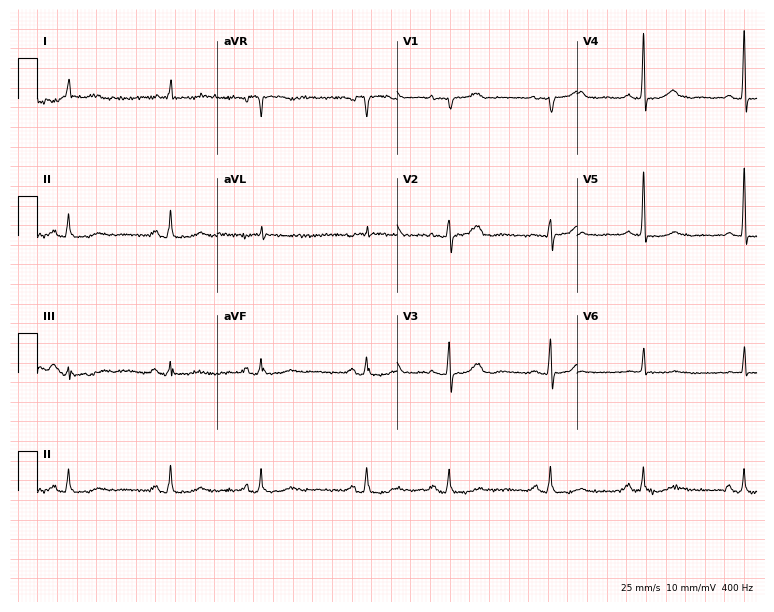
Resting 12-lead electrocardiogram (7.3-second recording at 400 Hz). Patient: an 81-year-old female. None of these six findings is recorded: first-degree AV block, right bundle branch block, left bundle branch block, sinus bradycardia, atrial fibrillation, sinus tachycardia.